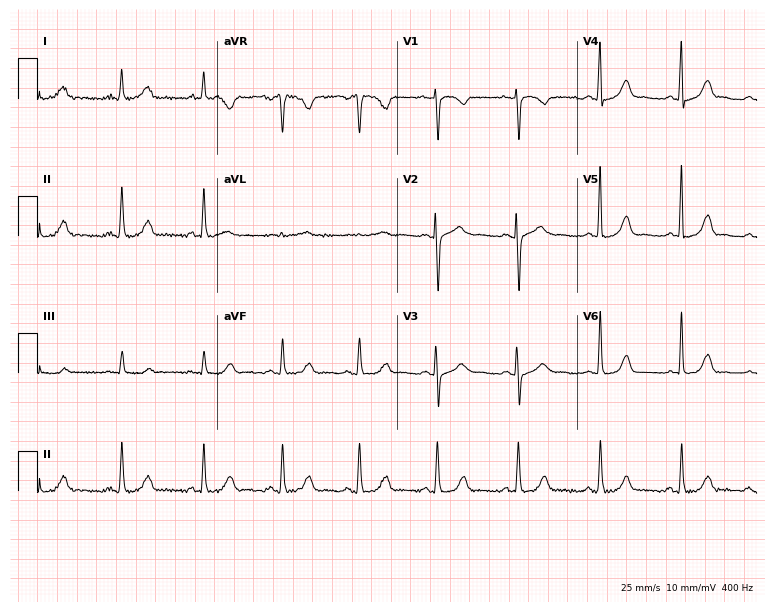
12-lead ECG from a 54-year-old female (7.3-second recording at 400 Hz). Recorded interpretation: within normal limits.